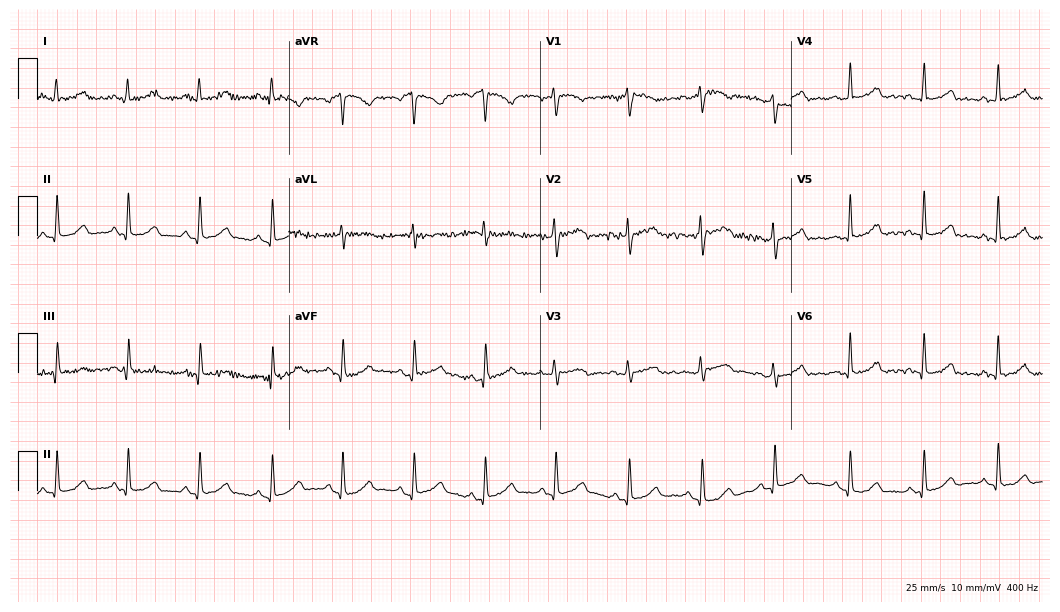
Standard 12-lead ECG recorded from a woman, 40 years old. None of these six findings is recorded: first-degree AV block, right bundle branch block (RBBB), left bundle branch block (LBBB), sinus bradycardia, atrial fibrillation (AF), sinus tachycardia. Findings outside these six are not listed.